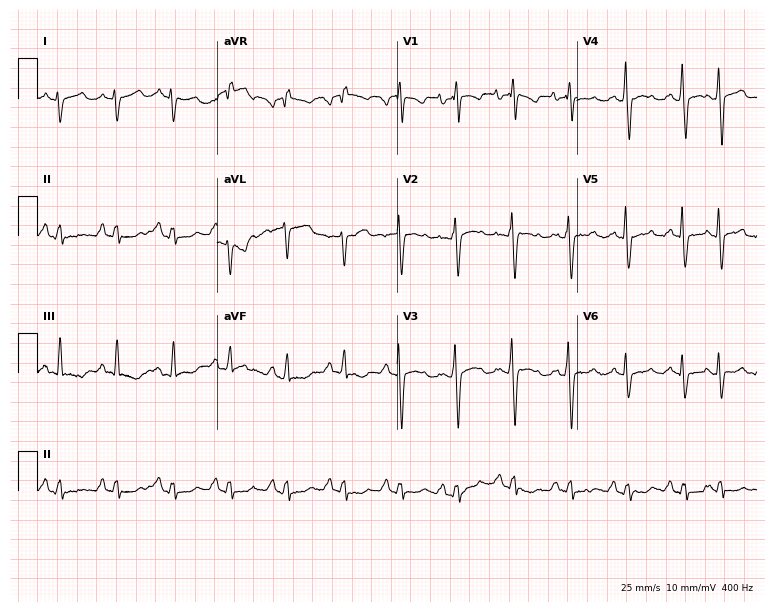
12-lead ECG from a 67-year-old male patient. No first-degree AV block, right bundle branch block (RBBB), left bundle branch block (LBBB), sinus bradycardia, atrial fibrillation (AF) or sinus tachycardia recorded for this tracing.